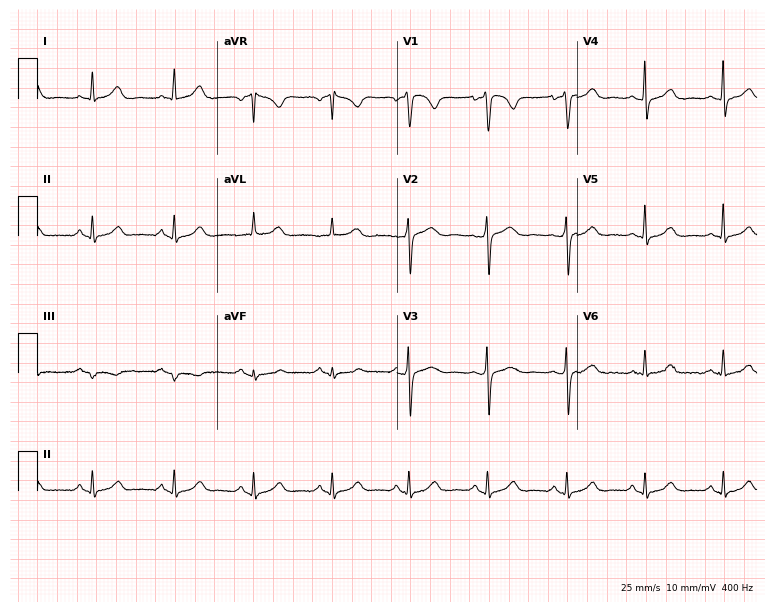
12-lead ECG (7.3-second recording at 400 Hz) from a woman, 54 years old. Screened for six findings — first-degree AV block, right bundle branch block, left bundle branch block, sinus bradycardia, atrial fibrillation, sinus tachycardia — none is recorded.